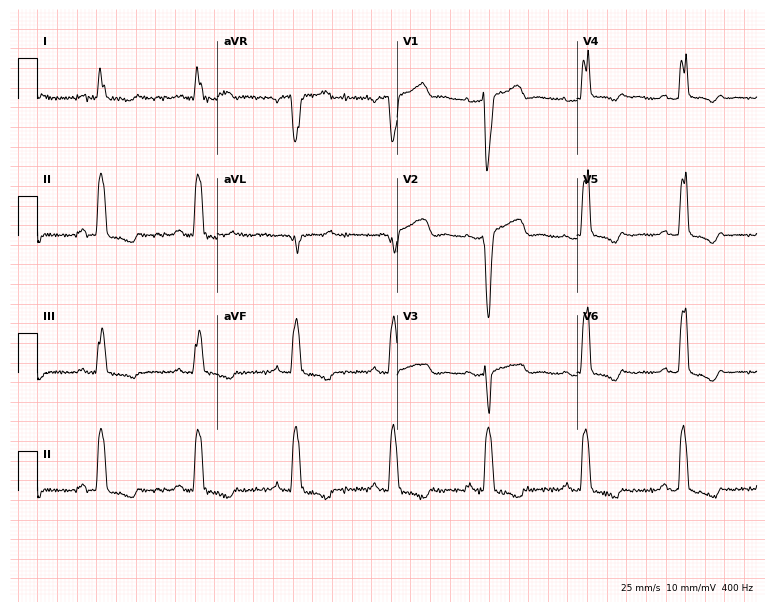
Standard 12-lead ECG recorded from a 79-year-old woman (7.3-second recording at 400 Hz). The tracing shows left bundle branch block.